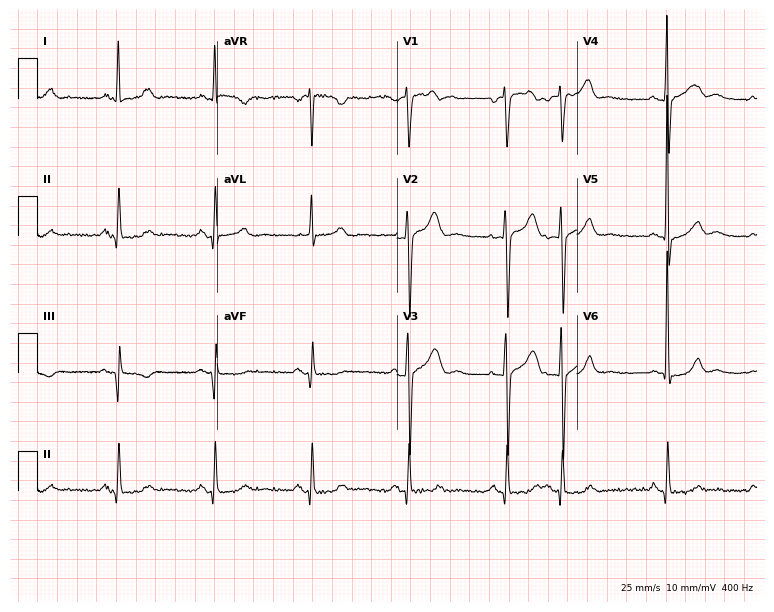
ECG (7.3-second recording at 400 Hz) — a 75-year-old male. Screened for six findings — first-degree AV block, right bundle branch block (RBBB), left bundle branch block (LBBB), sinus bradycardia, atrial fibrillation (AF), sinus tachycardia — none is recorded. Only these six findings were labelled.